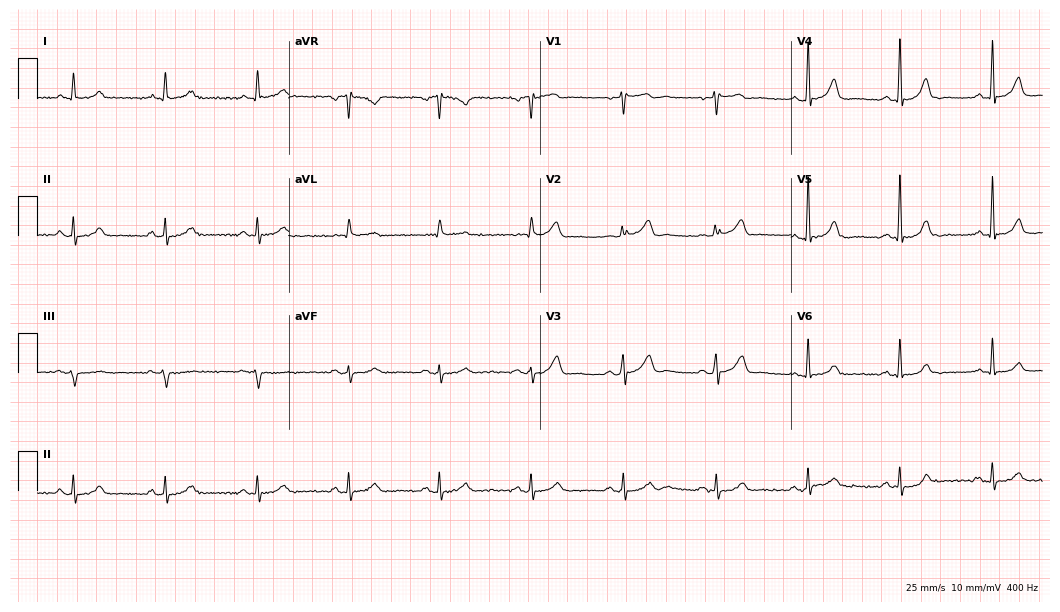
Electrocardiogram, an 85-year-old man. Overall reading on record: normal ECG.